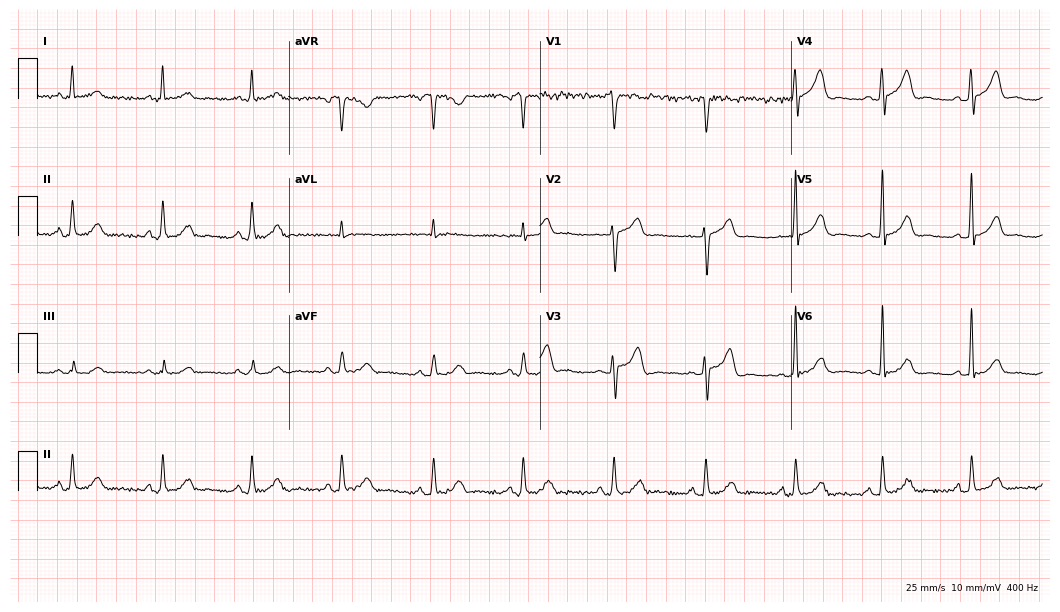
Standard 12-lead ECG recorded from a male patient, 53 years old. None of these six findings is recorded: first-degree AV block, right bundle branch block, left bundle branch block, sinus bradycardia, atrial fibrillation, sinus tachycardia. Only these six findings were labelled.